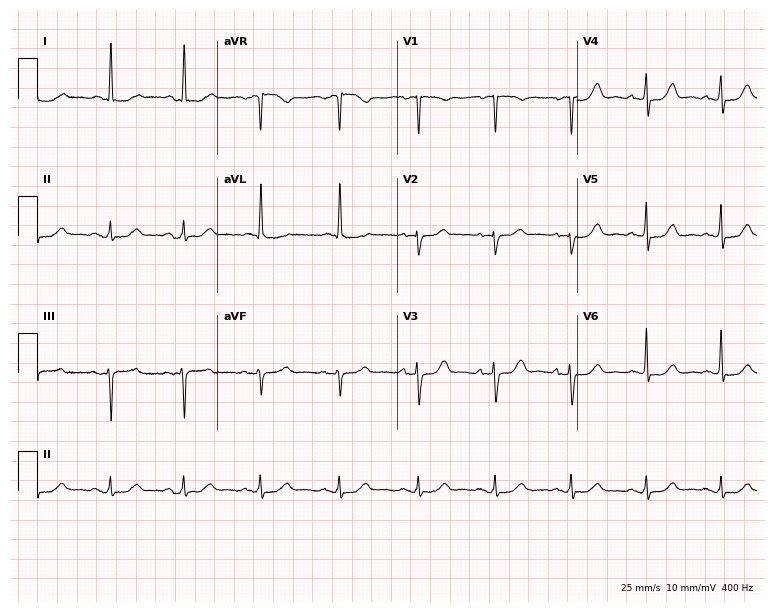
Resting 12-lead electrocardiogram. Patient: a 76-year-old female. None of these six findings is recorded: first-degree AV block, right bundle branch block, left bundle branch block, sinus bradycardia, atrial fibrillation, sinus tachycardia.